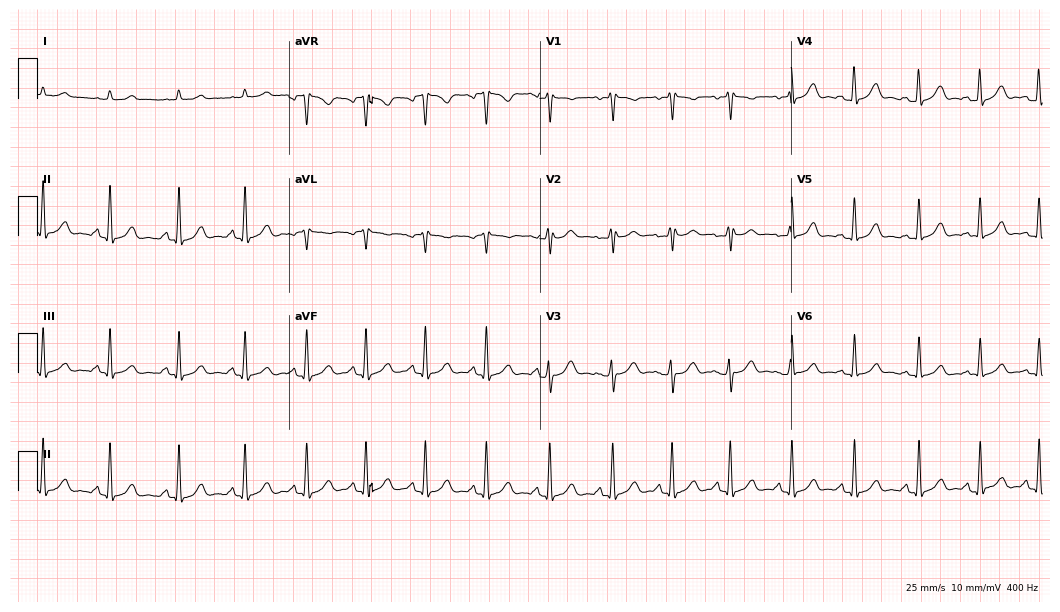
Standard 12-lead ECG recorded from a 32-year-old female (10.2-second recording at 400 Hz). Read as a normal ECG.